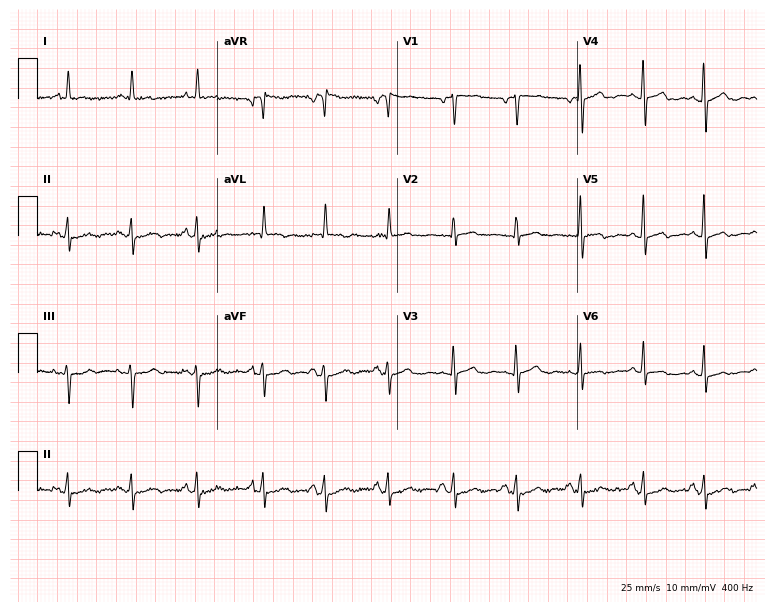
ECG (7.3-second recording at 400 Hz) — a female, 85 years old. Screened for six findings — first-degree AV block, right bundle branch block (RBBB), left bundle branch block (LBBB), sinus bradycardia, atrial fibrillation (AF), sinus tachycardia — none is recorded.